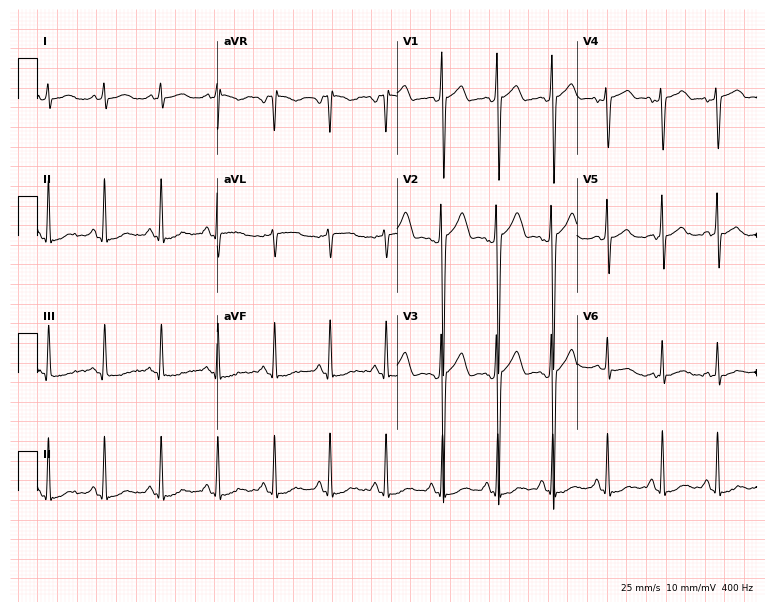
Electrocardiogram, a 24-year-old female. Interpretation includes sinus tachycardia (a sinus rate of 100 beats per minute or more).